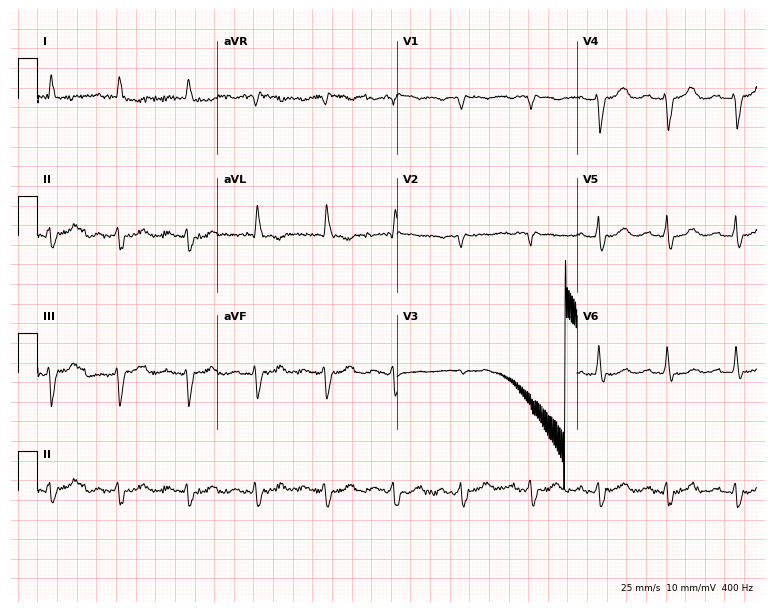
12-lead ECG from a 78-year-old female. Screened for six findings — first-degree AV block, right bundle branch block, left bundle branch block, sinus bradycardia, atrial fibrillation, sinus tachycardia — none is recorded.